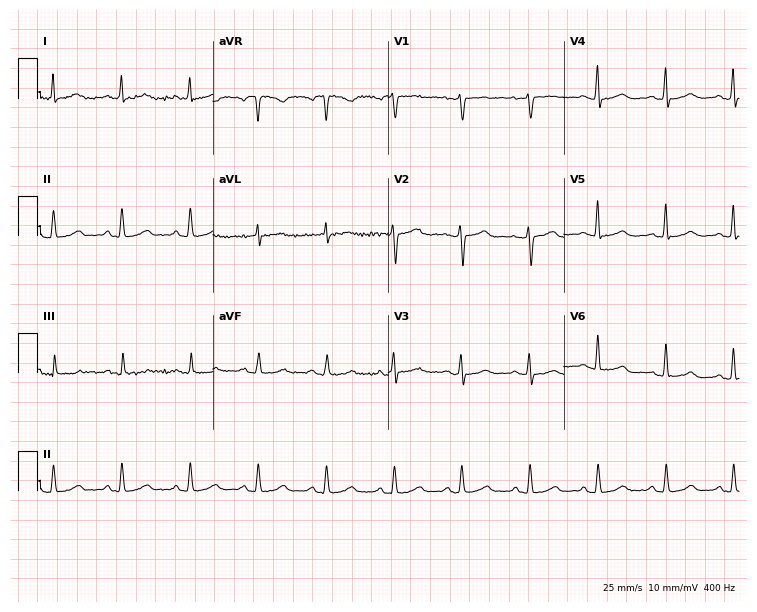
Standard 12-lead ECG recorded from a female patient, 58 years old. Read as a normal ECG.